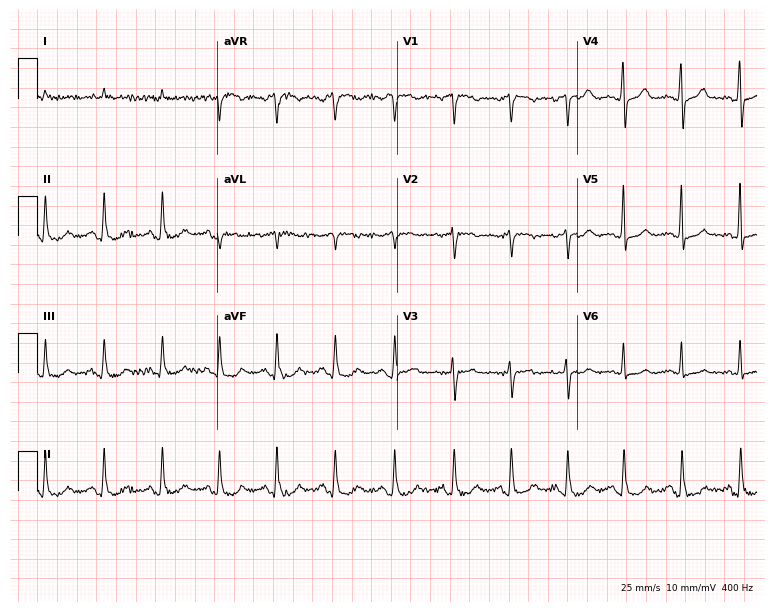
Electrocardiogram, a 63-year-old woman. Overall reading on record: normal ECG.